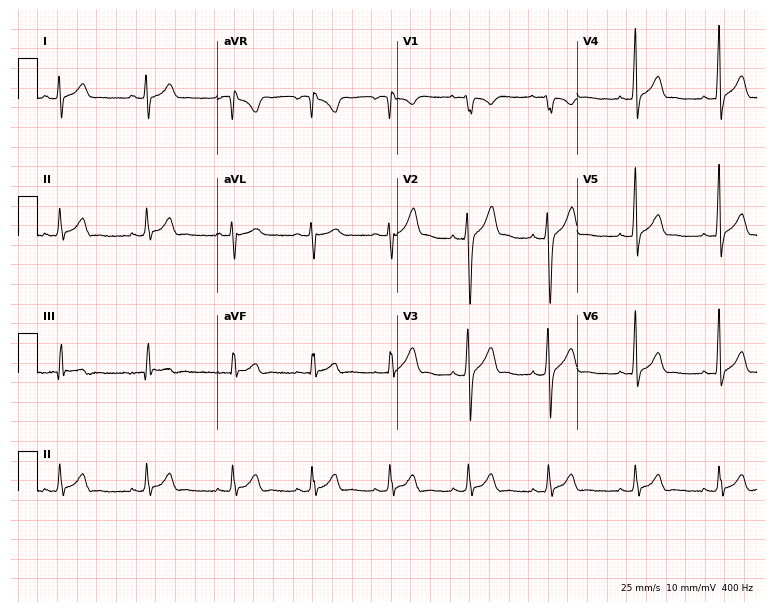
Standard 12-lead ECG recorded from a male, 20 years old. Read as a normal ECG.